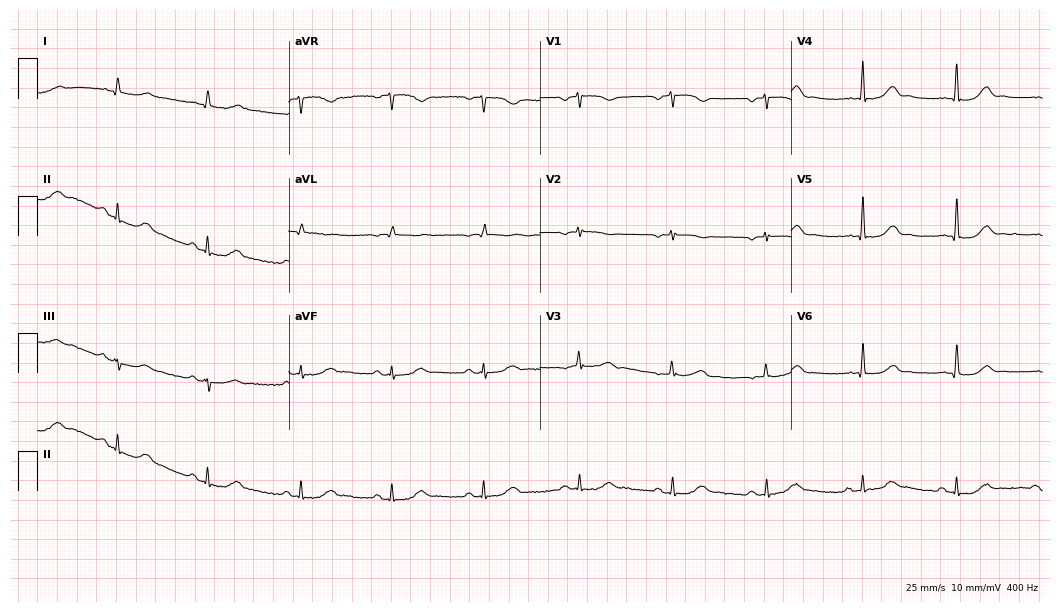
Resting 12-lead electrocardiogram (10.2-second recording at 400 Hz). Patient: a male, 81 years old. None of these six findings is recorded: first-degree AV block, right bundle branch block, left bundle branch block, sinus bradycardia, atrial fibrillation, sinus tachycardia.